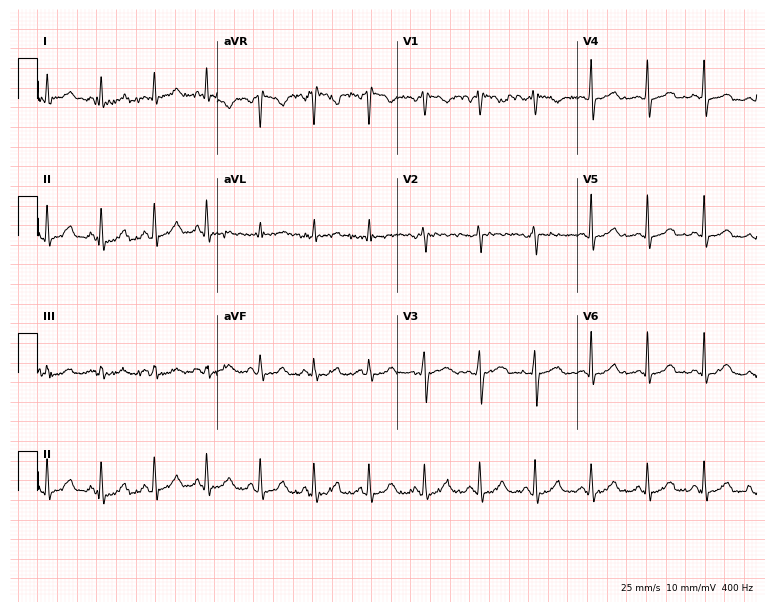
12-lead ECG (7.3-second recording at 400 Hz) from a 38-year-old female. Findings include sinus tachycardia (a sinus rate of 100 beats per minute or more).